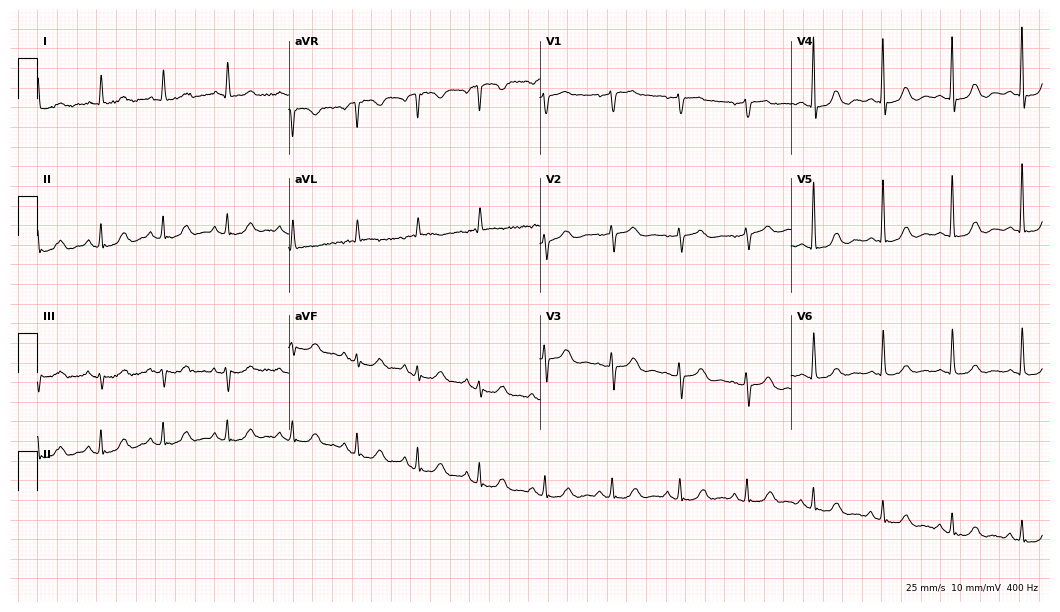
Resting 12-lead electrocardiogram. Patient: an 81-year-old female. None of these six findings is recorded: first-degree AV block, right bundle branch block (RBBB), left bundle branch block (LBBB), sinus bradycardia, atrial fibrillation (AF), sinus tachycardia. Findings outside these six are not listed.